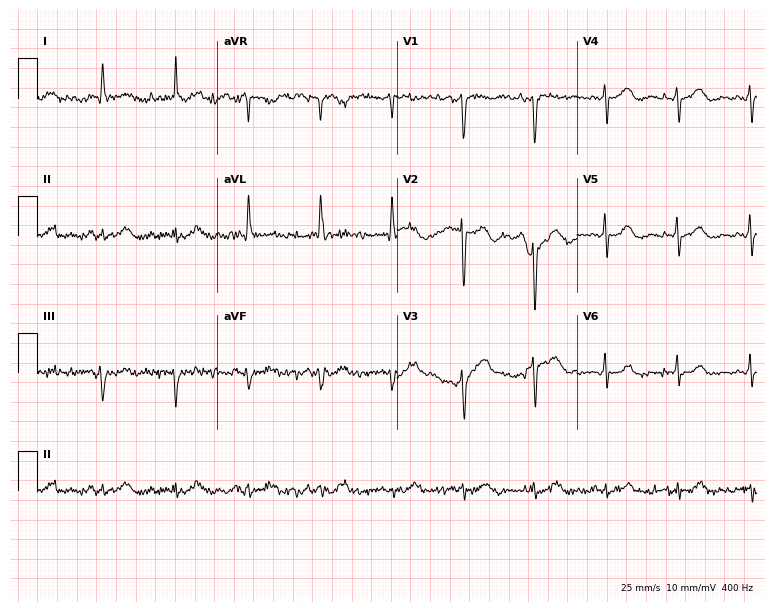
Resting 12-lead electrocardiogram. Patient: a 78-year-old man. Read as a normal ECG.